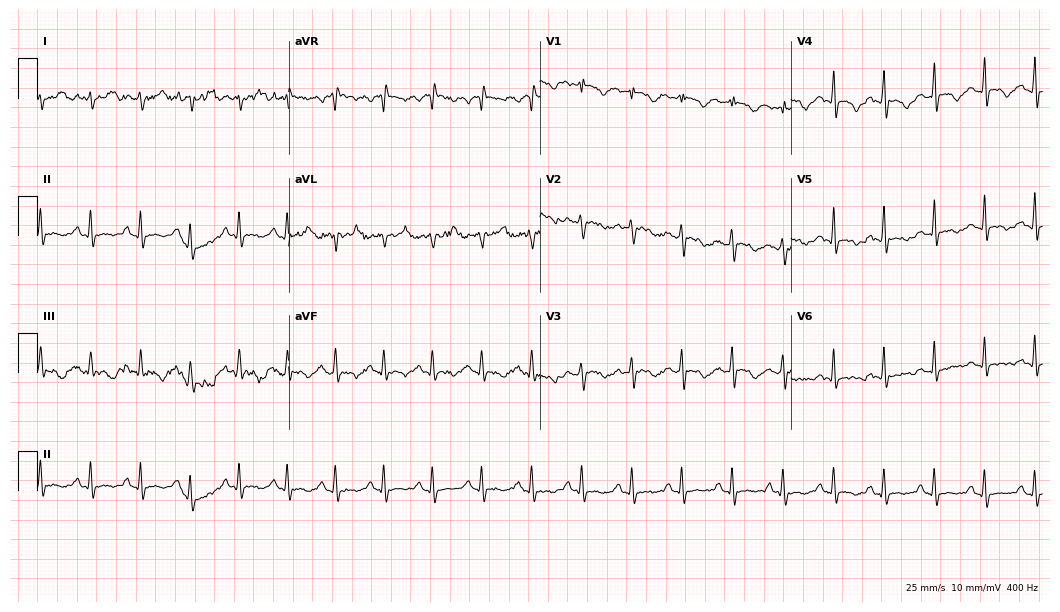
Standard 12-lead ECG recorded from a 27-year-old woman (10.2-second recording at 400 Hz). The tracing shows sinus tachycardia (a sinus rate of 100 beats per minute or more).